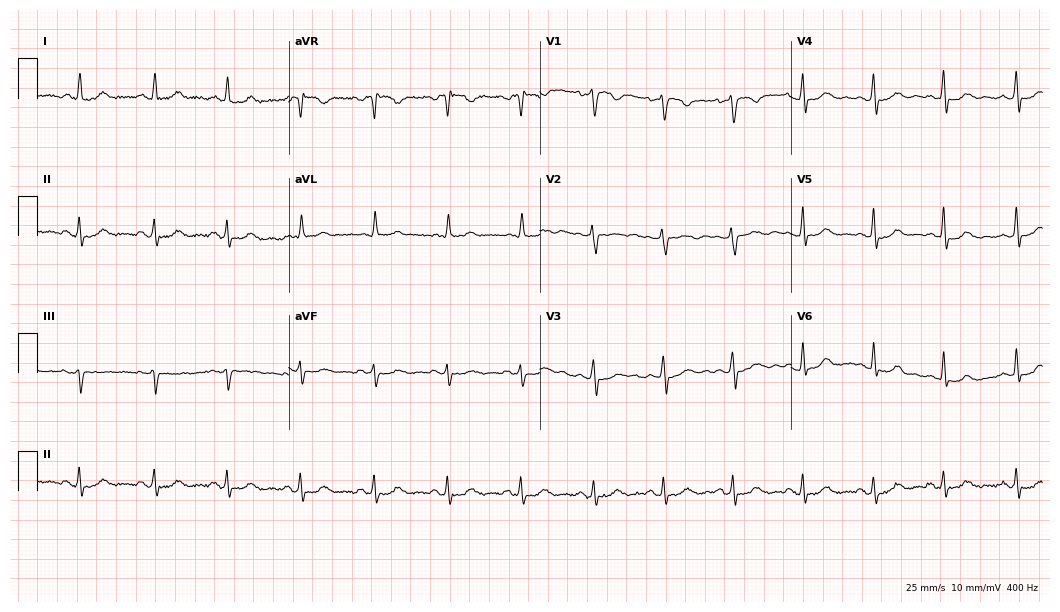
Standard 12-lead ECG recorded from a woman, 41 years old (10.2-second recording at 400 Hz). None of these six findings is recorded: first-degree AV block, right bundle branch block (RBBB), left bundle branch block (LBBB), sinus bradycardia, atrial fibrillation (AF), sinus tachycardia. Other findings, if any, are not listed.